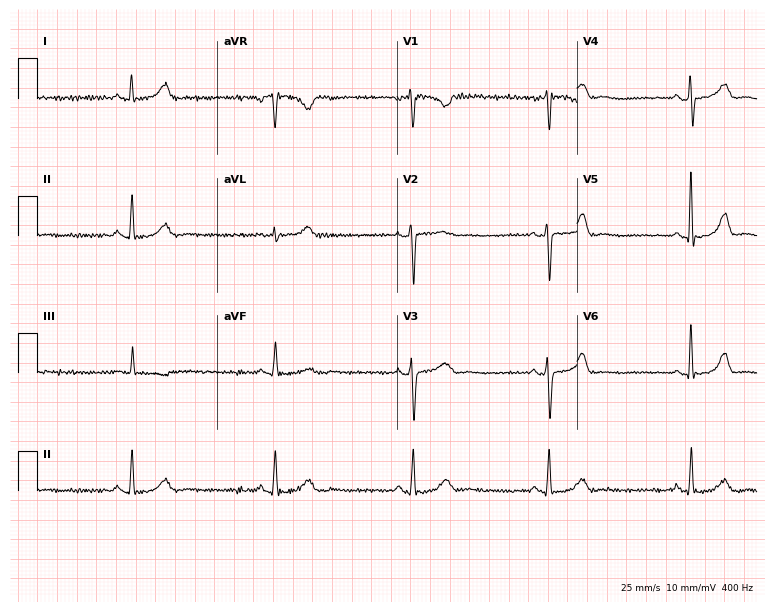
Electrocardiogram, a woman, 42 years old. Interpretation includes sinus bradycardia (a sinus rate of 50 beats per minute or less).